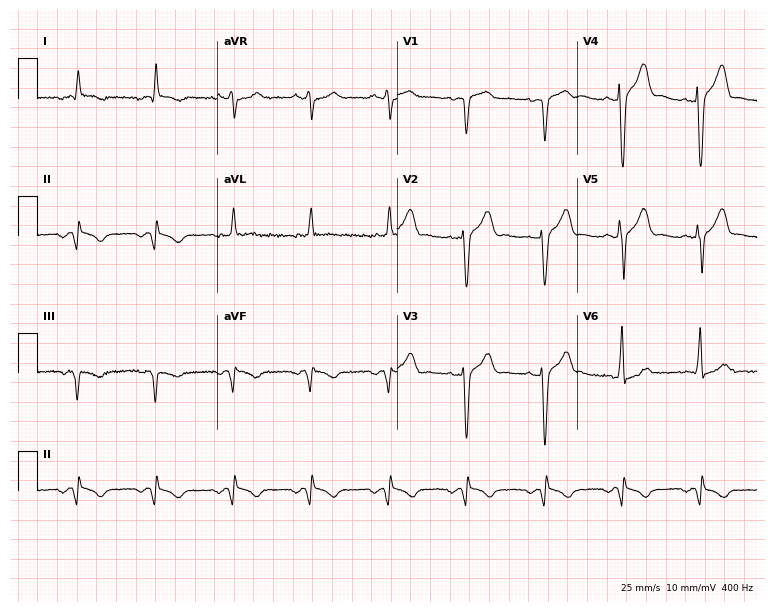
Resting 12-lead electrocardiogram (7.3-second recording at 400 Hz). Patient: a 77-year-old male. None of these six findings is recorded: first-degree AV block, right bundle branch block, left bundle branch block, sinus bradycardia, atrial fibrillation, sinus tachycardia.